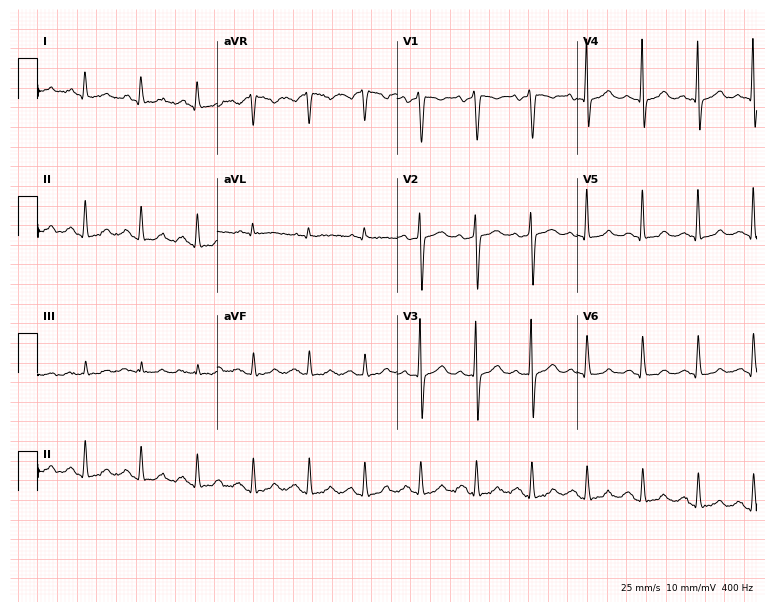
Resting 12-lead electrocardiogram. Patient: a 70-year-old male. The tracing shows sinus tachycardia (a sinus rate of 100 beats per minute or more).